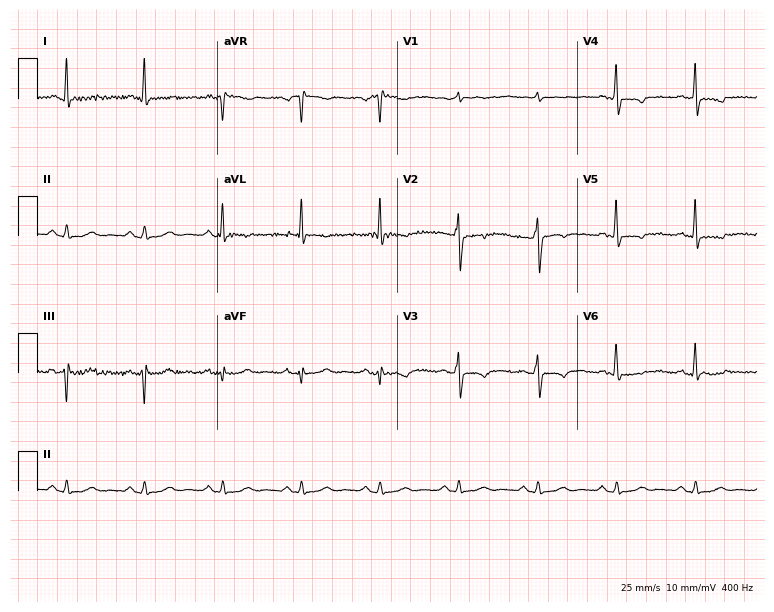
12-lead ECG from a 65-year-old man. Screened for six findings — first-degree AV block, right bundle branch block, left bundle branch block, sinus bradycardia, atrial fibrillation, sinus tachycardia — none is recorded. Only these six findings were labelled.